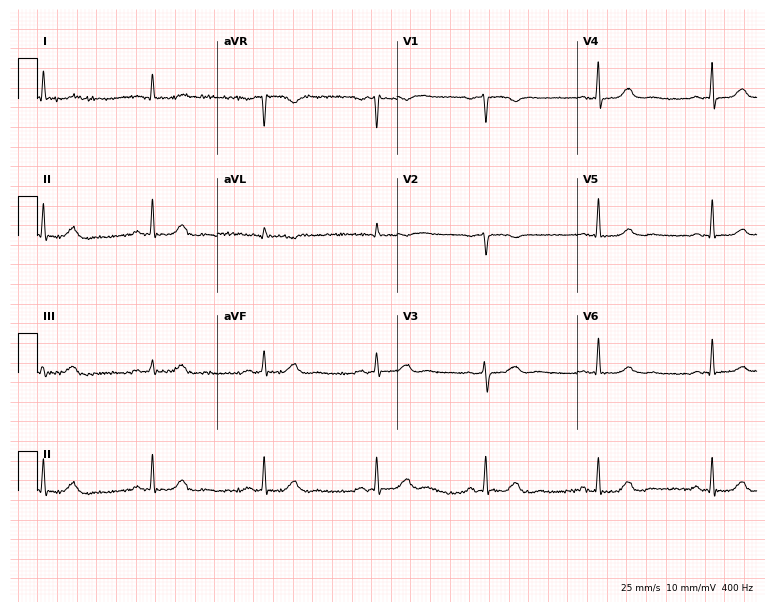
ECG (7.3-second recording at 400 Hz) — a 73-year-old female patient. Labelled as a normal ECG.